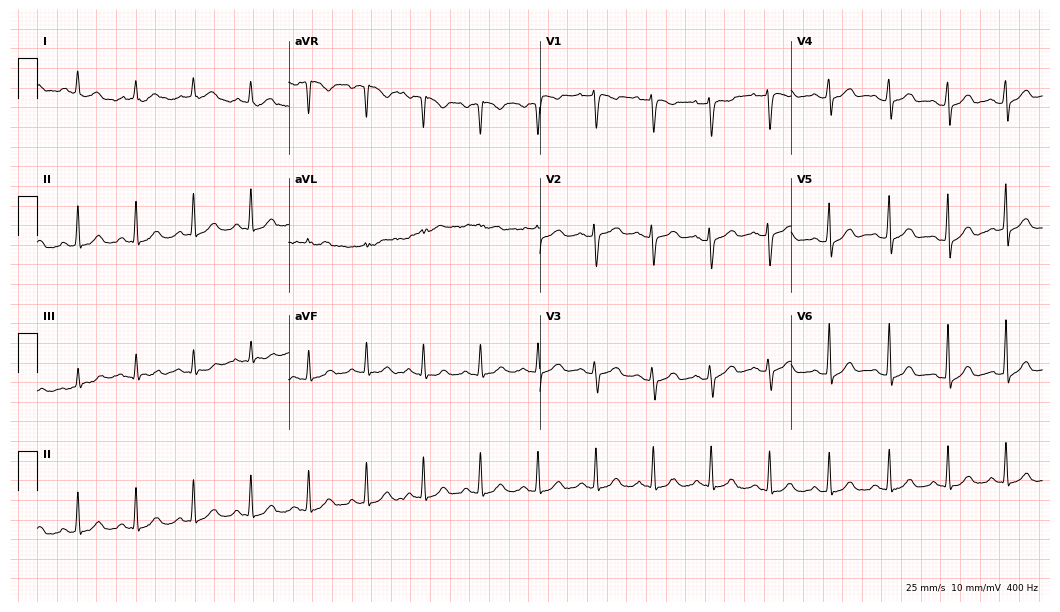
12-lead ECG from a 28-year-old female. Labelled as a normal ECG.